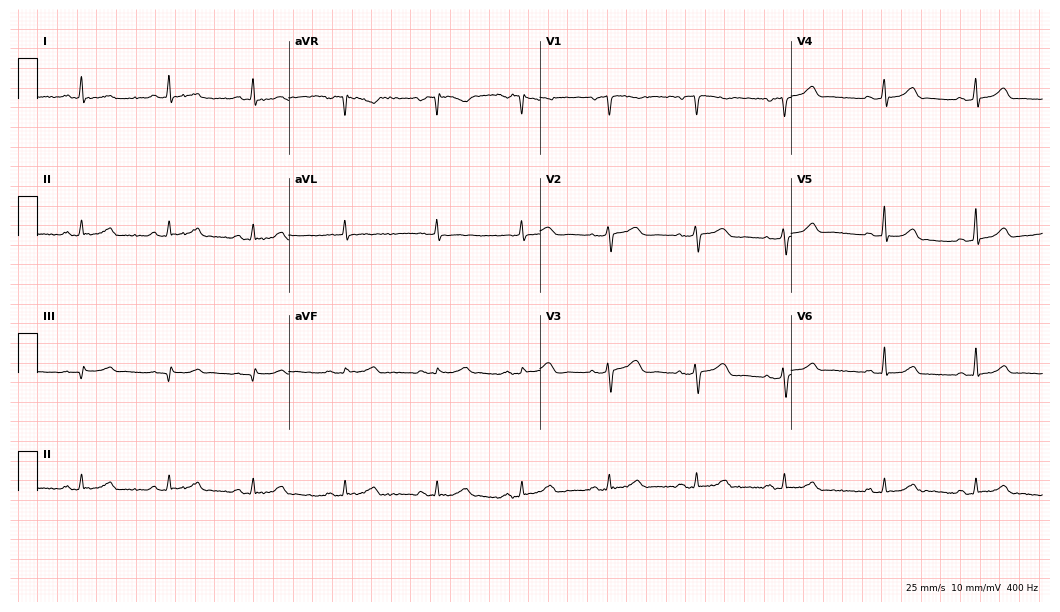
Electrocardiogram (10.2-second recording at 400 Hz), a female patient, 50 years old. Of the six screened findings (first-degree AV block, right bundle branch block, left bundle branch block, sinus bradycardia, atrial fibrillation, sinus tachycardia), none is recorded. Findings outside these six are not listed.